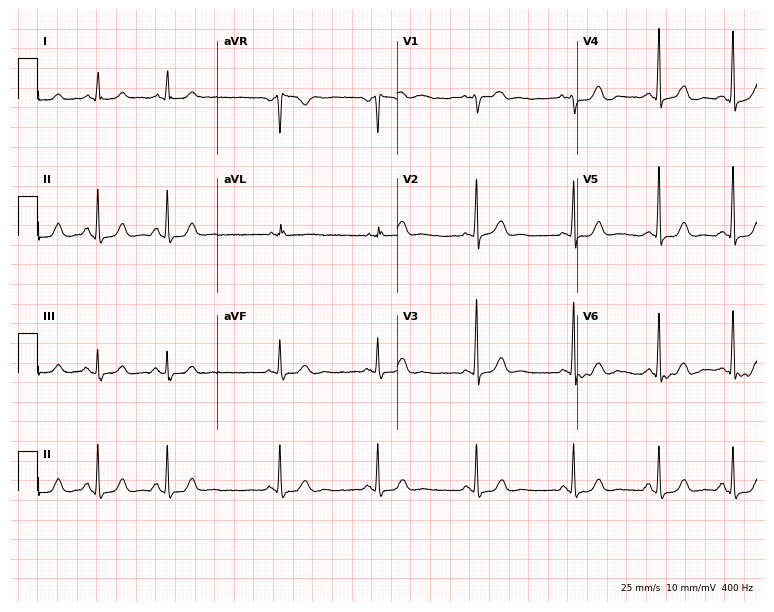
Electrocardiogram, a 41-year-old woman. Overall reading on record: normal ECG.